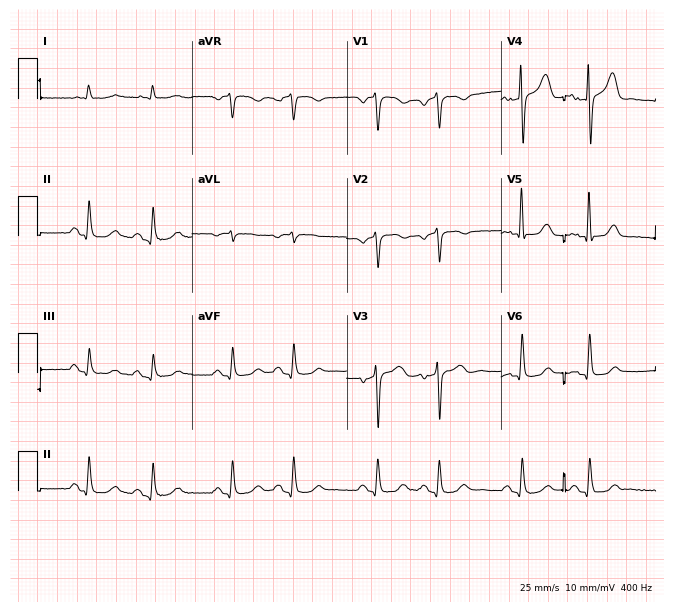
Resting 12-lead electrocardiogram (6.3-second recording at 400 Hz). Patient: an 84-year-old male. None of these six findings is recorded: first-degree AV block, right bundle branch block, left bundle branch block, sinus bradycardia, atrial fibrillation, sinus tachycardia.